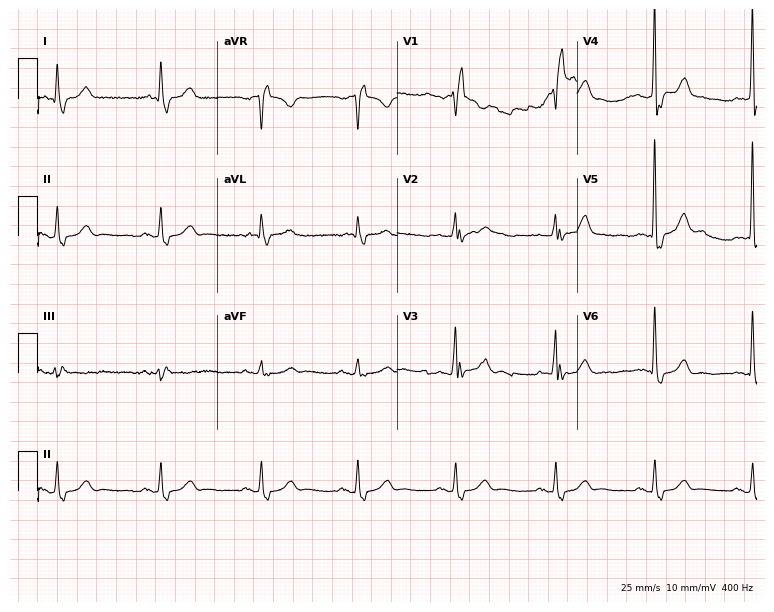
12-lead ECG from a man, 73 years old. Shows right bundle branch block.